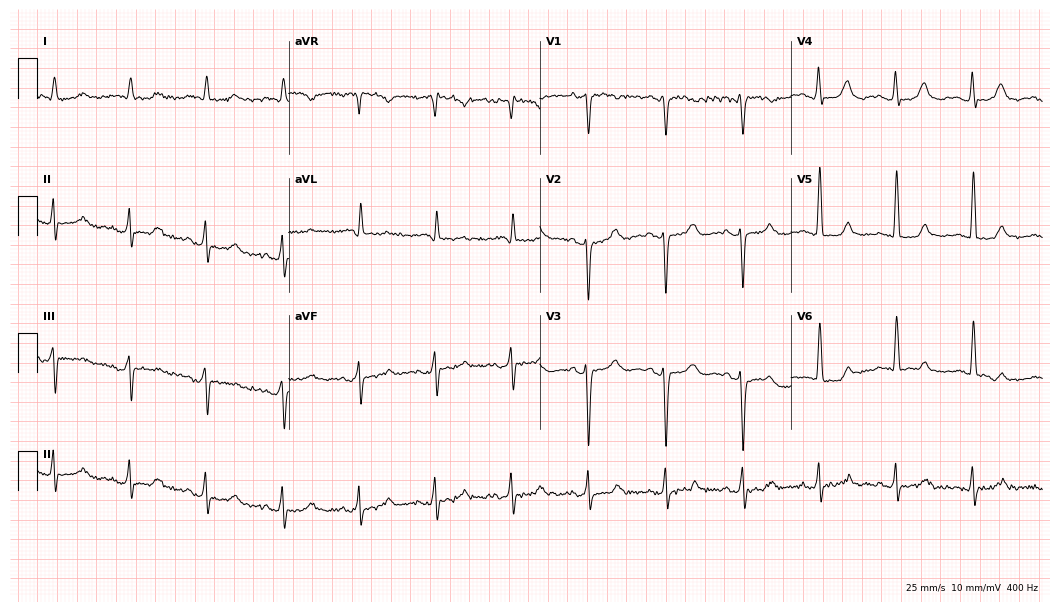
12-lead ECG from a 44-year-old female patient. Labelled as a normal ECG.